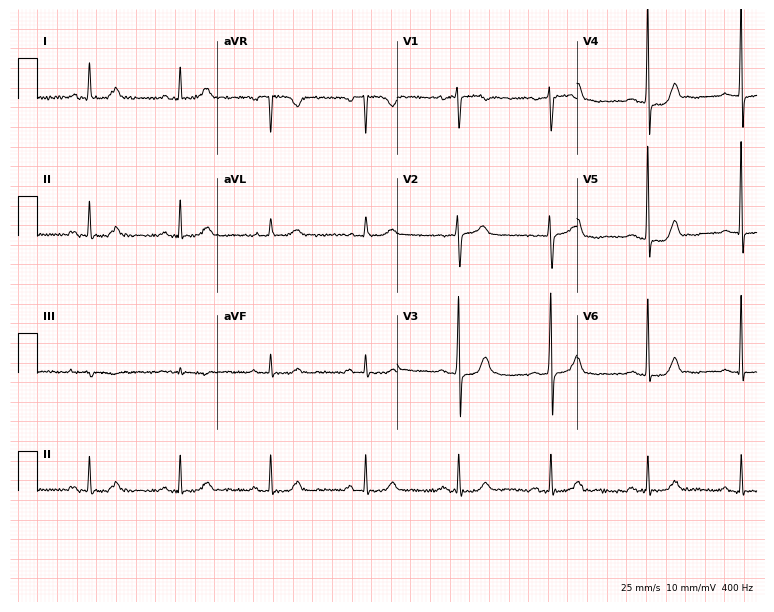
12-lead ECG (7.3-second recording at 400 Hz) from a woman, 53 years old. Labelled as a normal ECG.